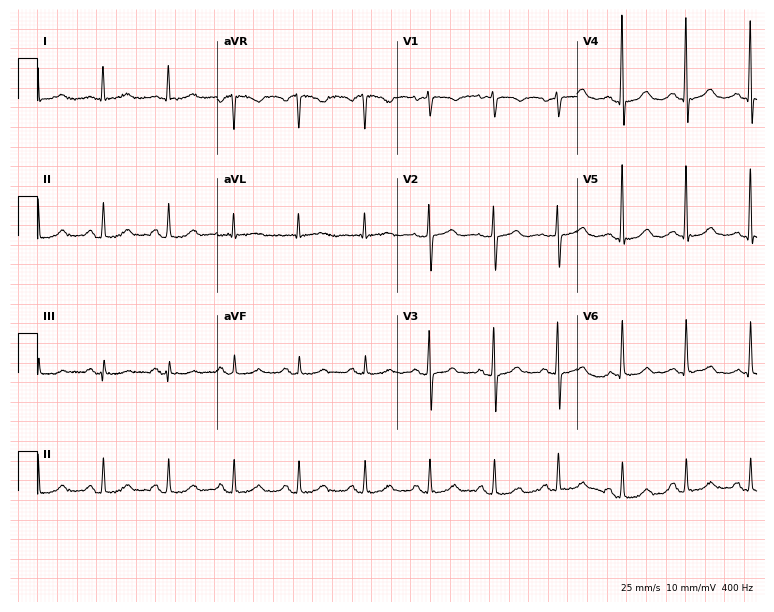
Electrocardiogram (7.3-second recording at 400 Hz), a 65-year-old female patient. Overall reading on record: normal ECG.